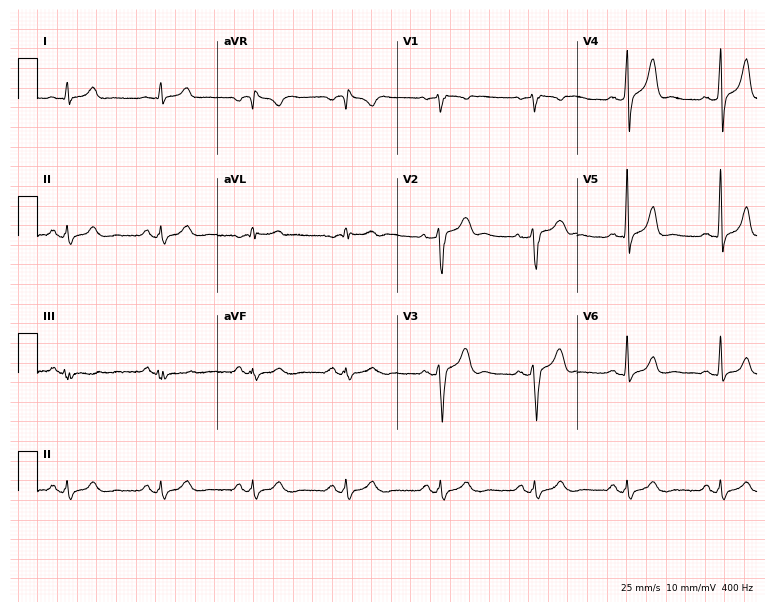
12-lead ECG from a 50-year-old male patient (7.3-second recording at 400 Hz). Recorded interpretation: within normal limits.